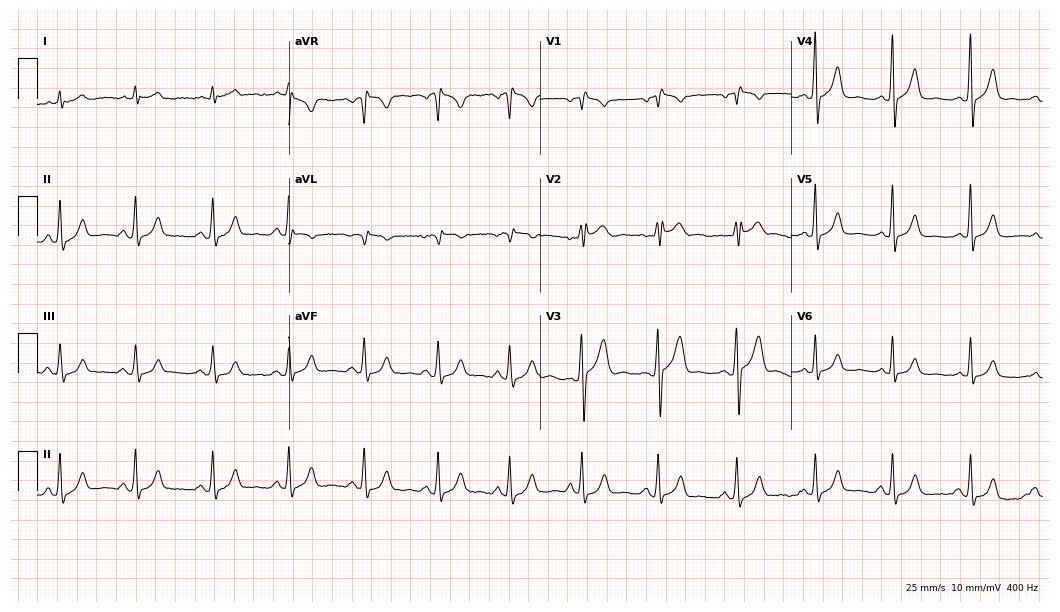
12-lead ECG from a man, 54 years old. No first-degree AV block, right bundle branch block (RBBB), left bundle branch block (LBBB), sinus bradycardia, atrial fibrillation (AF) or sinus tachycardia recorded for this tracing. Other findings, if any, are not listed.